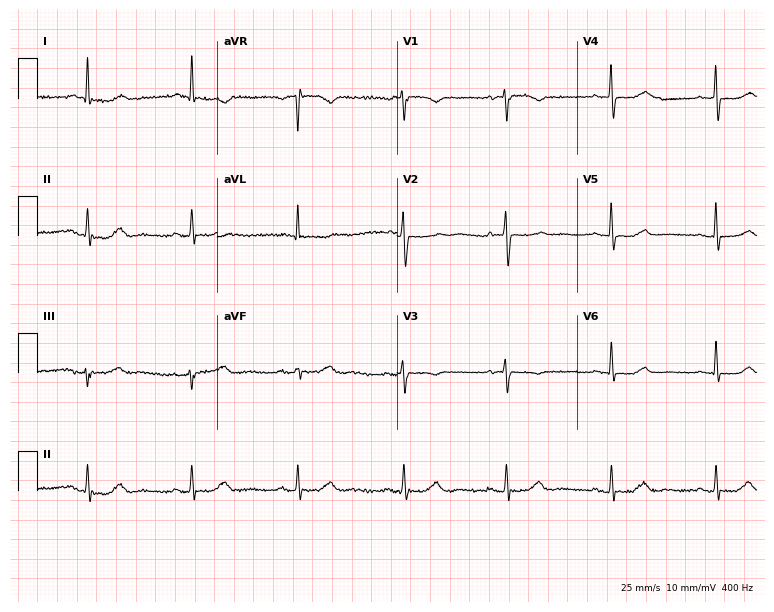
Resting 12-lead electrocardiogram. Patient: a female, 75 years old. None of these six findings is recorded: first-degree AV block, right bundle branch block, left bundle branch block, sinus bradycardia, atrial fibrillation, sinus tachycardia. Findings outside these six are not listed.